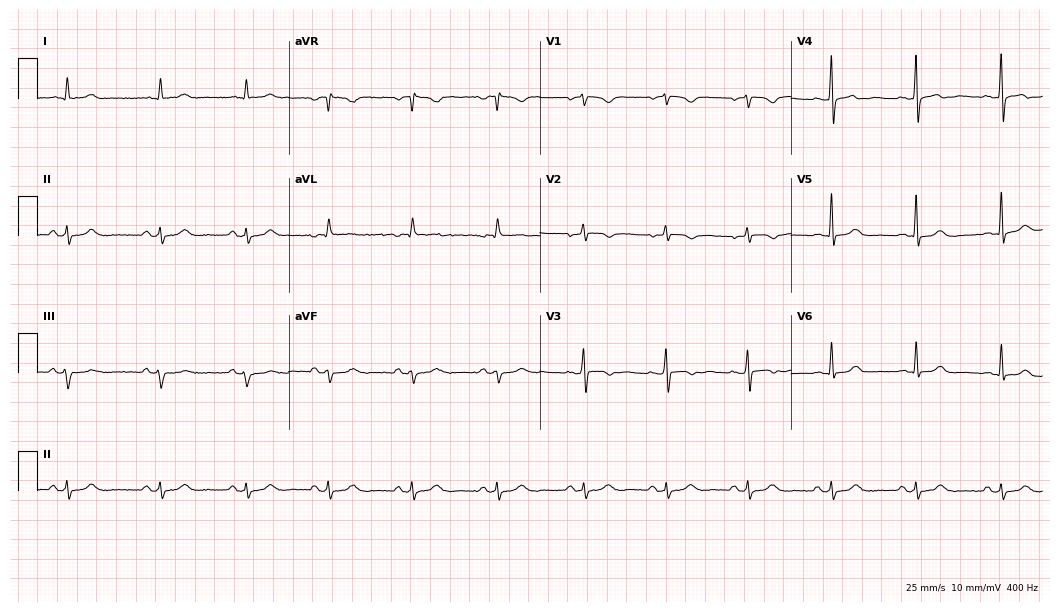
12-lead ECG from a 45-year-old female patient (10.2-second recording at 400 Hz). No first-degree AV block, right bundle branch block, left bundle branch block, sinus bradycardia, atrial fibrillation or sinus tachycardia recorded for this tracing. Other findings, if any, are not listed.